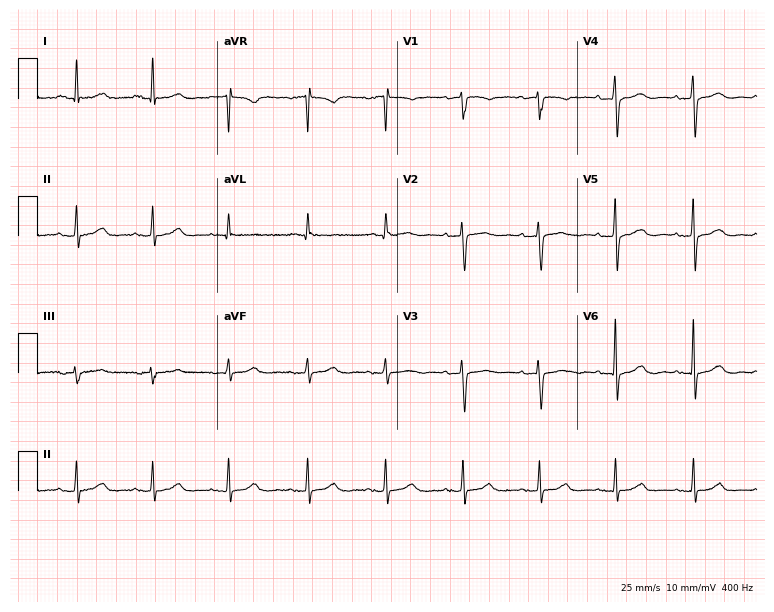
12-lead ECG from a female patient, 80 years old (7.3-second recording at 400 Hz). Recorded interpretation: within normal limits.